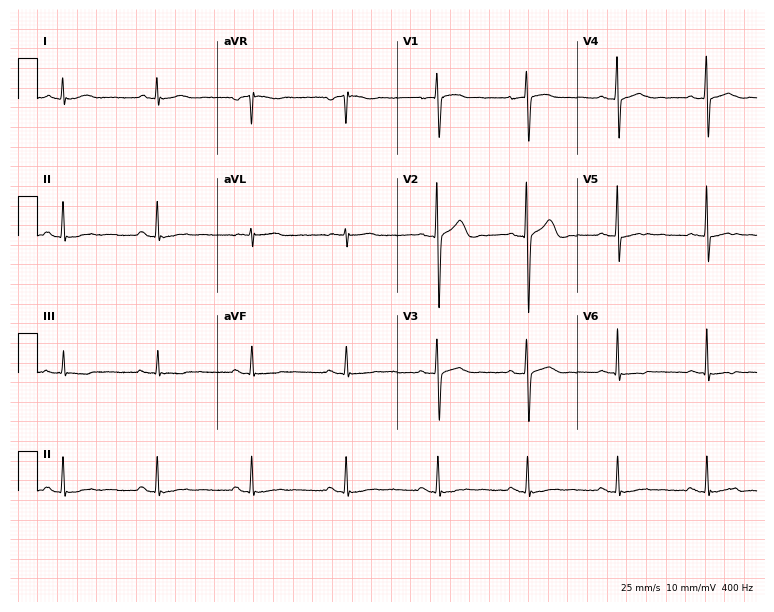
12-lead ECG (7.3-second recording at 400 Hz) from a male patient, 36 years old. Screened for six findings — first-degree AV block, right bundle branch block (RBBB), left bundle branch block (LBBB), sinus bradycardia, atrial fibrillation (AF), sinus tachycardia — none is recorded.